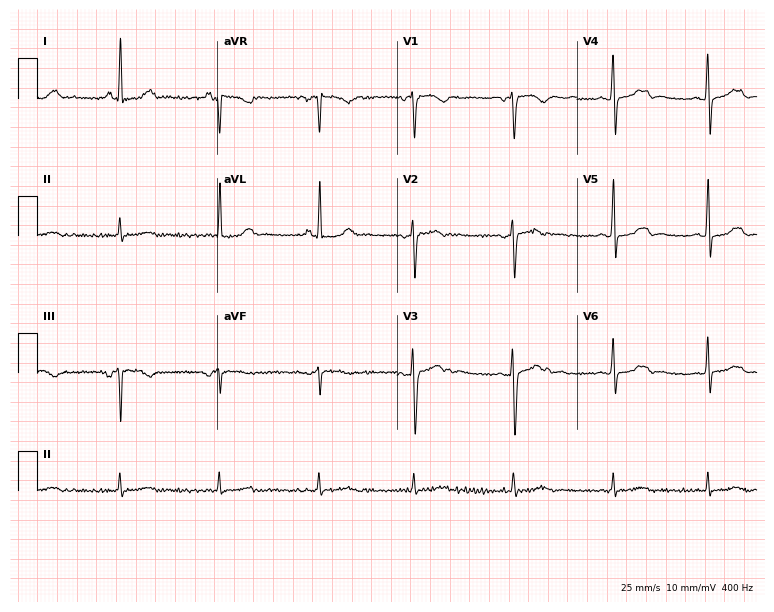
12-lead ECG from a female patient, 38 years old. Screened for six findings — first-degree AV block, right bundle branch block, left bundle branch block, sinus bradycardia, atrial fibrillation, sinus tachycardia — none is recorded. Only these six findings were labelled.